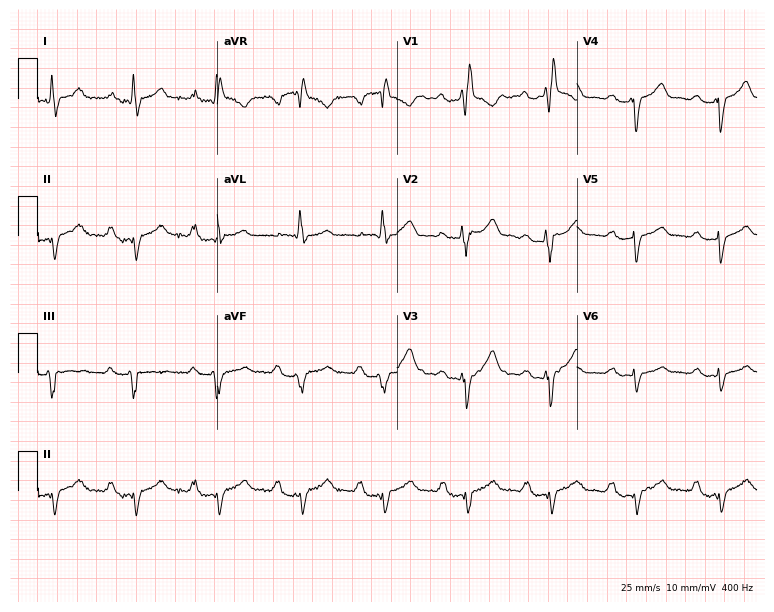
ECG (7.3-second recording at 400 Hz) — a man, 47 years old. Findings include first-degree AV block, right bundle branch block.